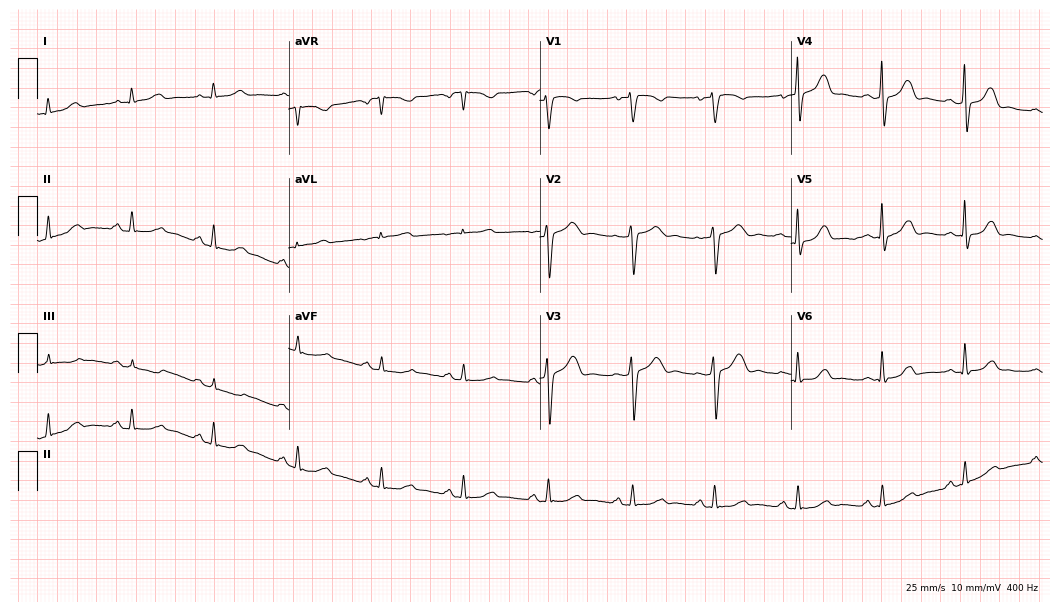
Standard 12-lead ECG recorded from a female patient, 54 years old (10.2-second recording at 400 Hz). Read as a normal ECG.